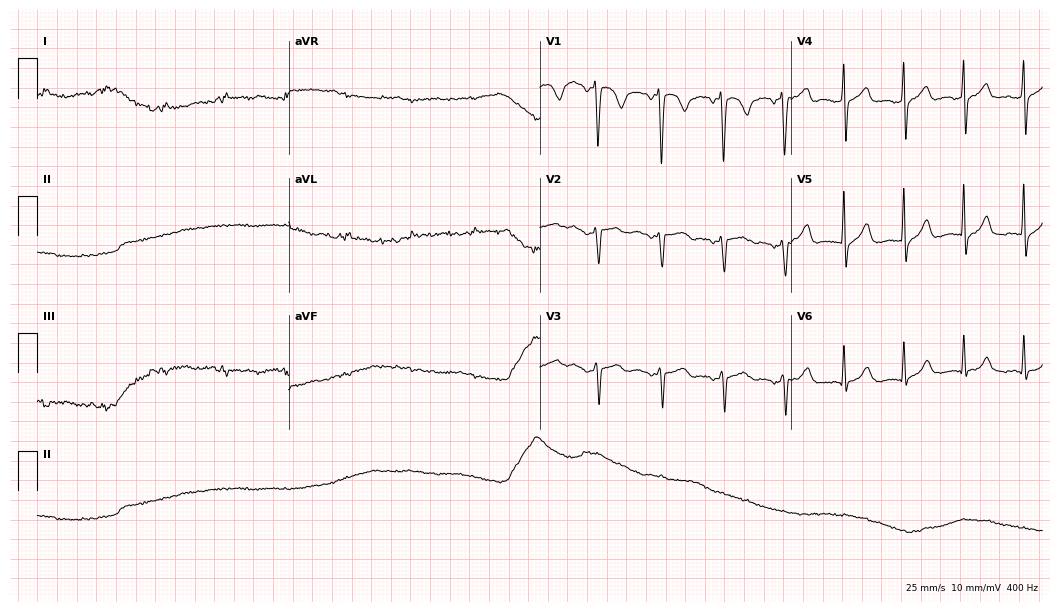
Resting 12-lead electrocardiogram. Patient: a 46-year-old woman. None of these six findings is recorded: first-degree AV block, right bundle branch block, left bundle branch block, sinus bradycardia, atrial fibrillation, sinus tachycardia.